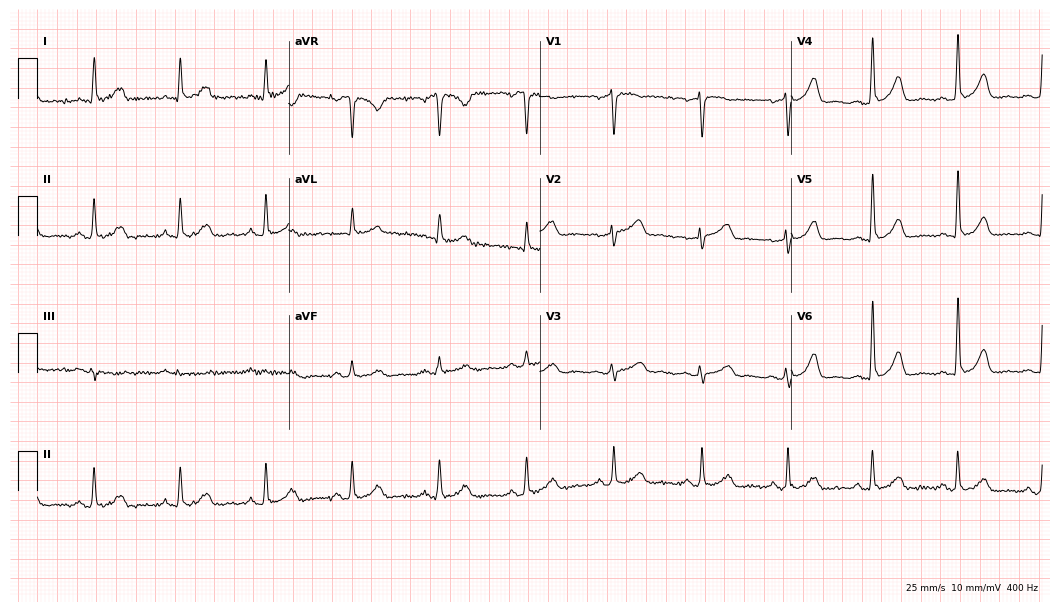
ECG — a 51-year-old female patient. Screened for six findings — first-degree AV block, right bundle branch block, left bundle branch block, sinus bradycardia, atrial fibrillation, sinus tachycardia — none is recorded.